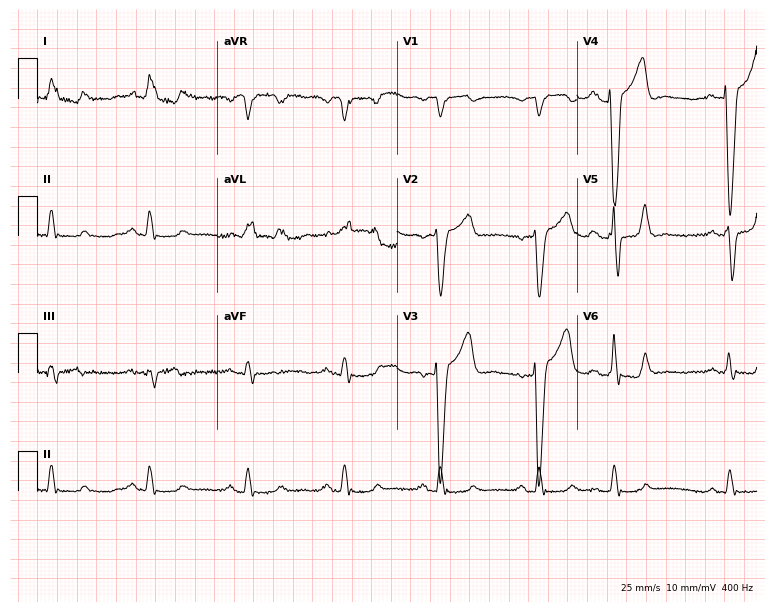
Electrocardiogram, a female patient, 71 years old. Interpretation includes left bundle branch block (LBBB).